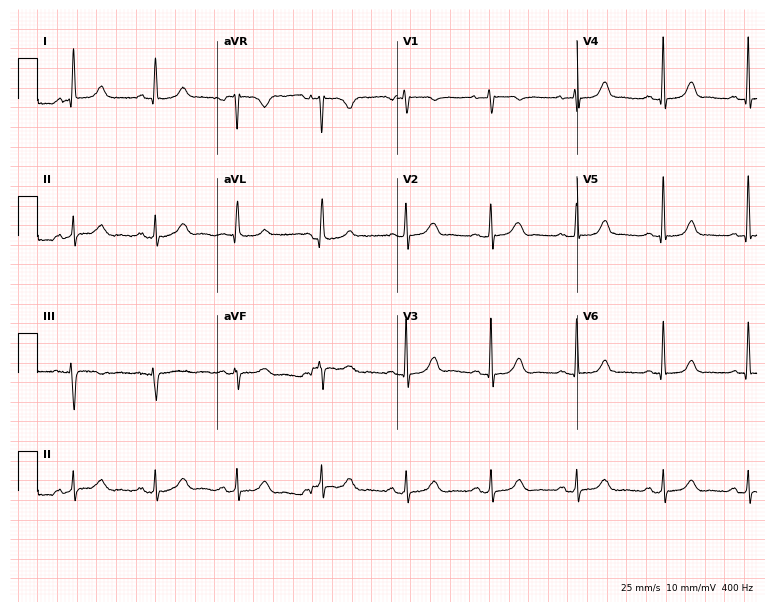
ECG — a female patient, 59 years old. Labelled as a normal ECG.